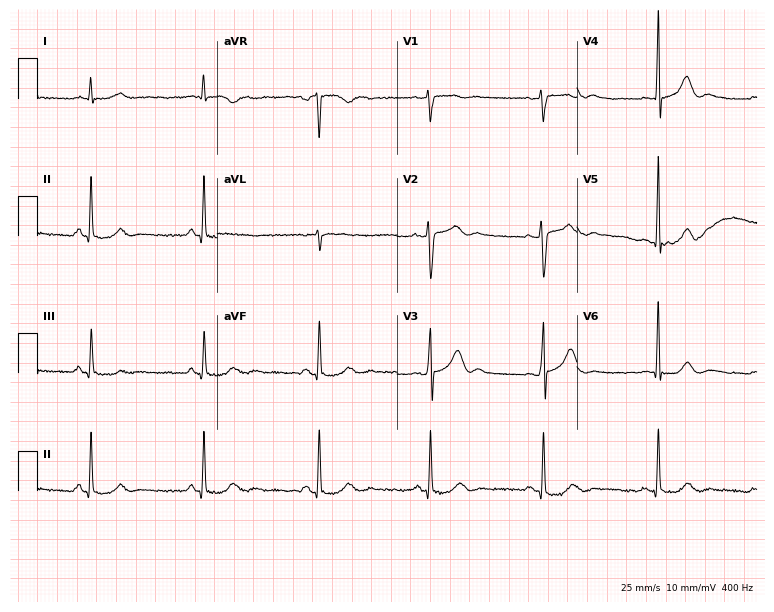
12-lead ECG from a female patient, 44 years old (7.3-second recording at 400 Hz). No first-degree AV block, right bundle branch block (RBBB), left bundle branch block (LBBB), sinus bradycardia, atrial fibrillation (AF) or sinus tachycardia recorded for this tracing. Findings outside these six are not listed.